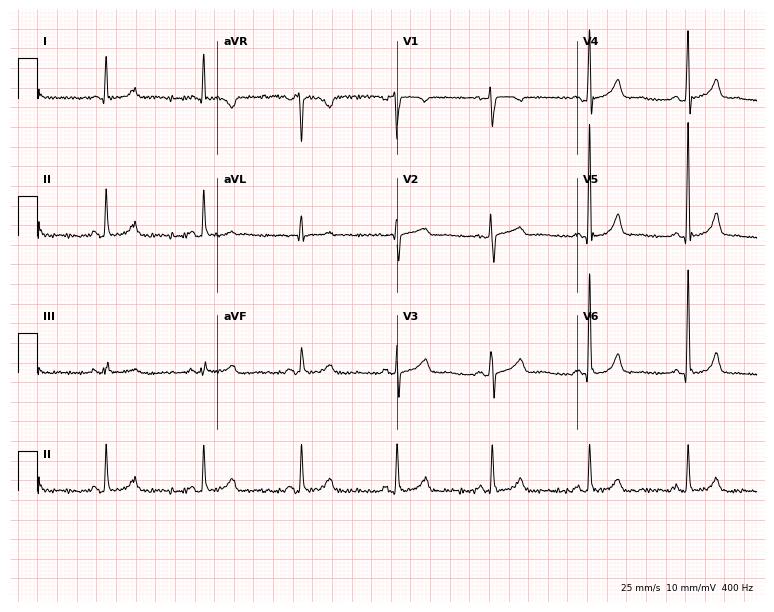
Electrocardiogram, a 46-year-old woman. Overall reading on record: normal ECG.